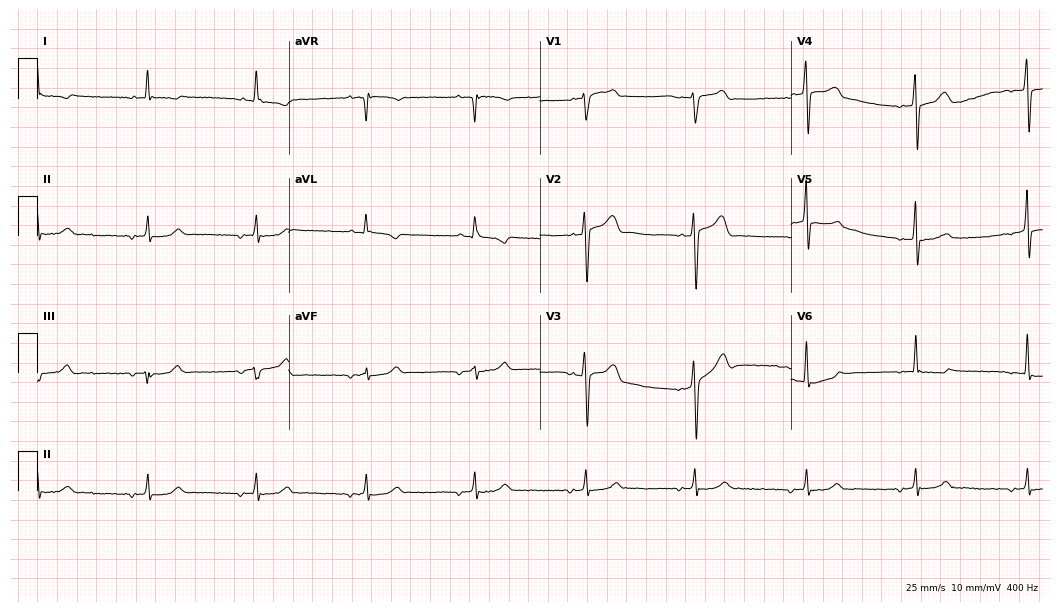
Electrocardiogram (10.2-second recording at 400 Hz), a male, 77 years old. Of the six screened findings (first-degree AV block, right bundle branch block, left bundle branch block, sinus bradycardia, atrial fibrillation, sinus tachycardia), none is recorded. Findings outside these six are not listed.